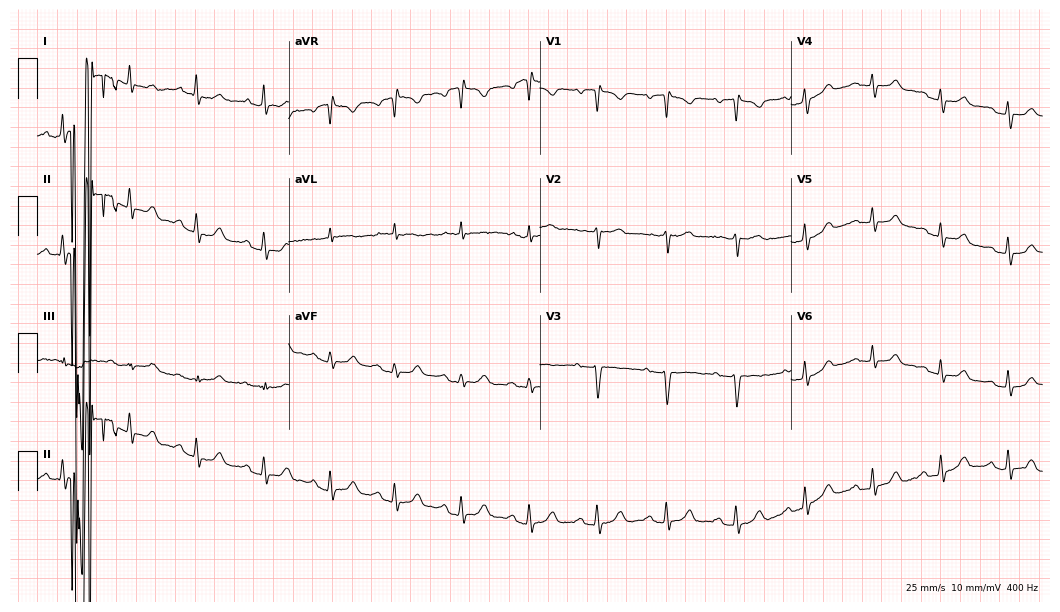
ECG — a 63-year-old woman. Screened for six findings — first-degree AV block, right bundle branch block (RBBB), left bundle branch block (LBBB), sinus bradycardia, atrial fibrillation (AF), sinus tachycardia — none is recorded.